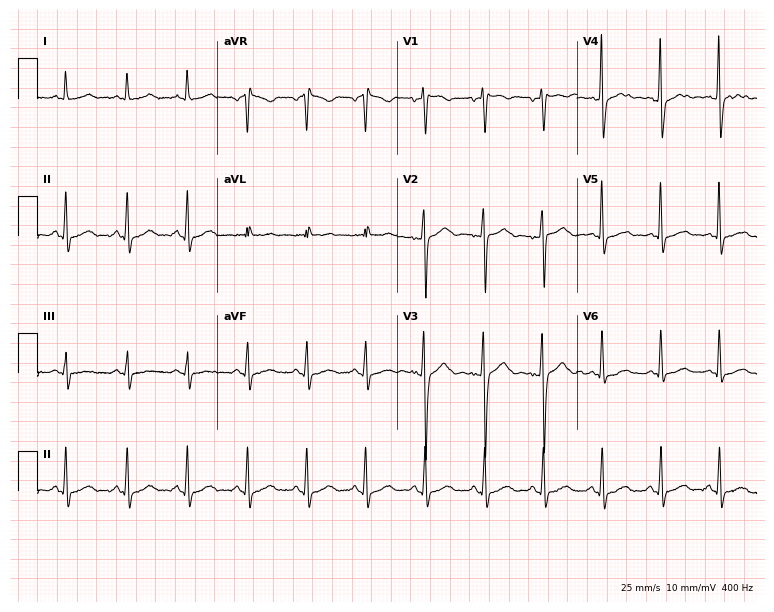
Standard 12-lead ECG recorded from a 47-year-old woman. None of these six findings is recorded: first-degree AV block, right bundle branch block (RBBB), left bundle branch block (LBBB), sinus bradycardia, atrial fibrillation (AF), sinus tachycardia. Only these six findings were labelled.